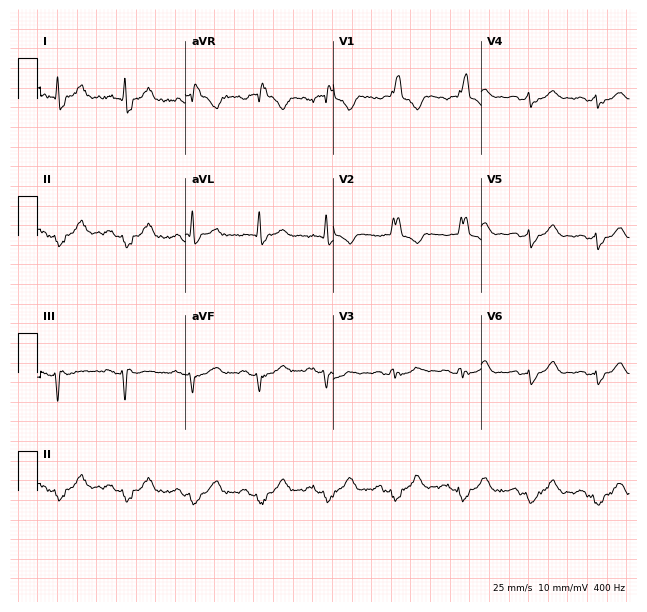
ECG — a 71-year-old female. Screened for six findings — first-degree AV block, right bundle branch block (RBBB), left bundle branch block (LBBB), sinus bradycardia, atrial fibrillation (AF), sinus tachycardia — none is recorded. Only these six findings were labelled.